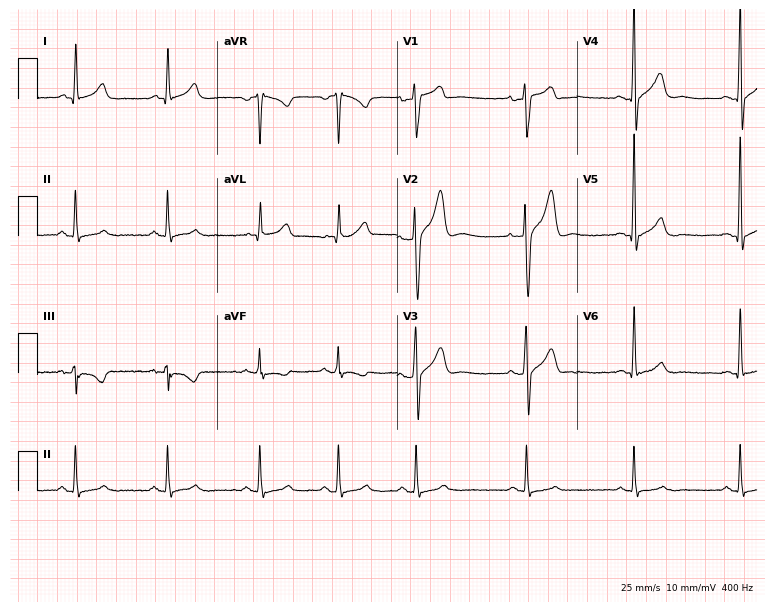
Electrocardiogram (7.3-second recording at 400 Hz), a 46-year-old male patient. Of the six screened findings (first-degree AV block, right bundle branch block (RBBB), left bundle branch block (LBBB), sinus bradycardia, atrial fibrillation (AF), sinus tachycardia), none is recorded.